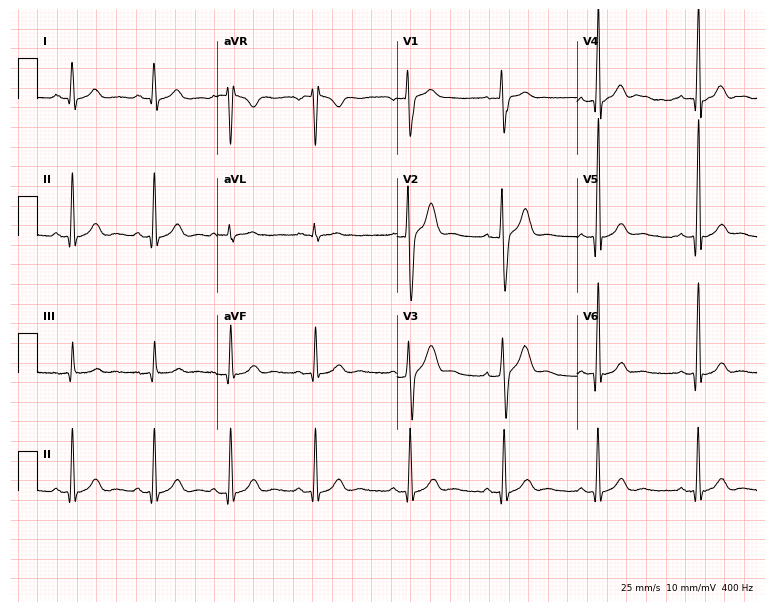
Resting 12-lead electrocardiogram (7.3-second recording at 400 Hz). Patient: a 23-year-old man. Read as a normal ECG.